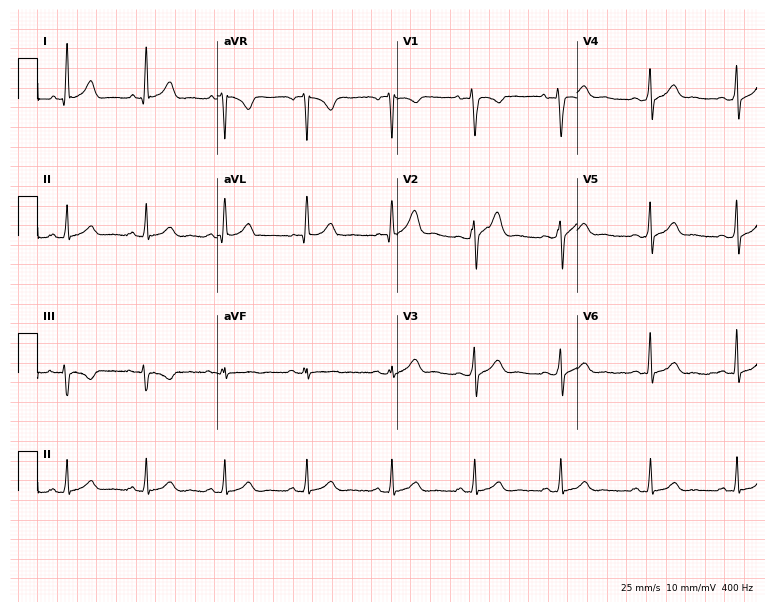
Electrocardiogram (7.3-second recording at 400 Hz), a man, 33 years old. Overall reading on record: normal ECG.